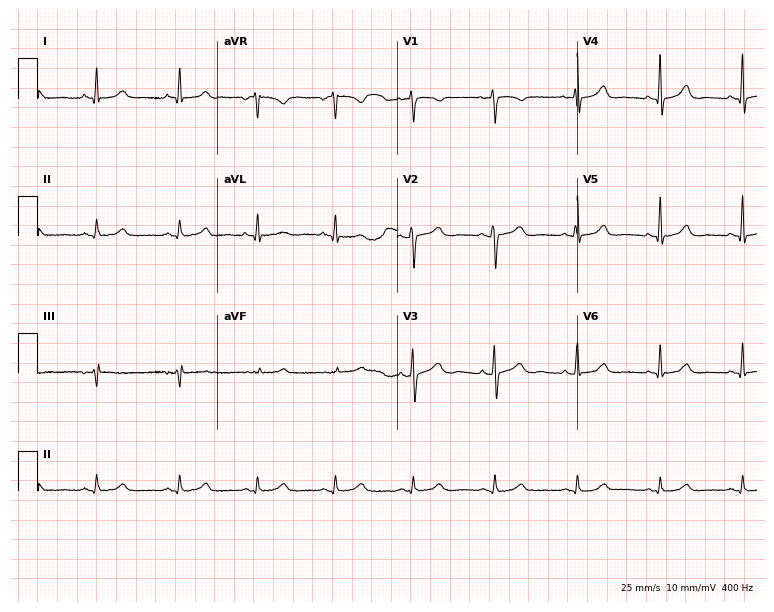
Resting 12-lead electrocardiogram (7.3-second recording at 400 Hz). Patient: a 37-year-old woman. Read as a normal ECG.